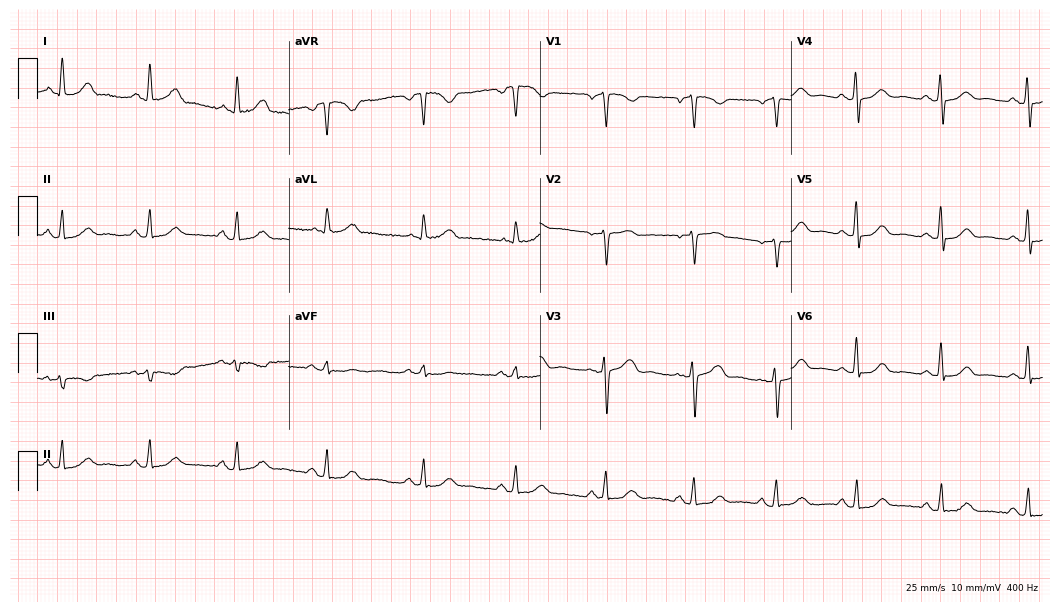
12-lead ECG from a 58-year-old female (10.2-second recording at 400 Hz). No first-degree AV block, right bundle branch block, left bundle branch block, sinus bradycardia, atrial fibrillation or sinus tachycardia recorded for this tracing. Findings outside these six are not listed.